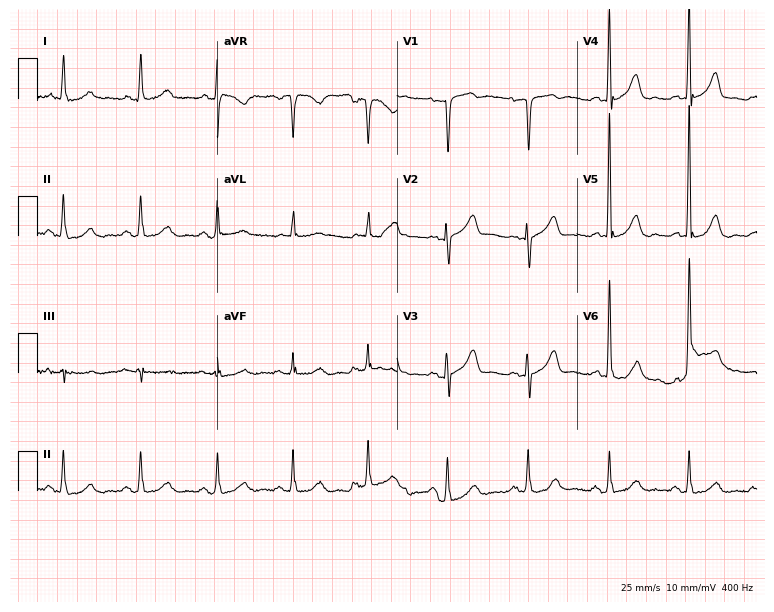
Electrocardiogram (7.3-second recording at 400 Hz), a 79-year-old woman. Of the six screened findings (first-degree AV block, right bundle branch block, left bundle branch block, sinus bradycardia, atrial fibrillation, sinus tachycardia), none is recorded.